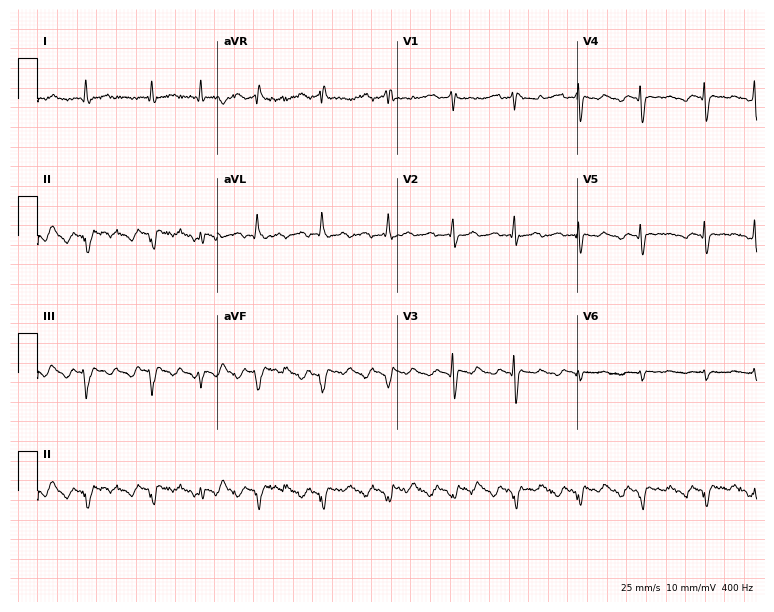
12-lead ECG from a man, 82 years old. No first-degree AV block, right bundle branch block, left bundle branch block, sinus bradycardia, atrial fibrillation or sinus tachycardia recorded for this tracing. Findings outside these six are not listed.